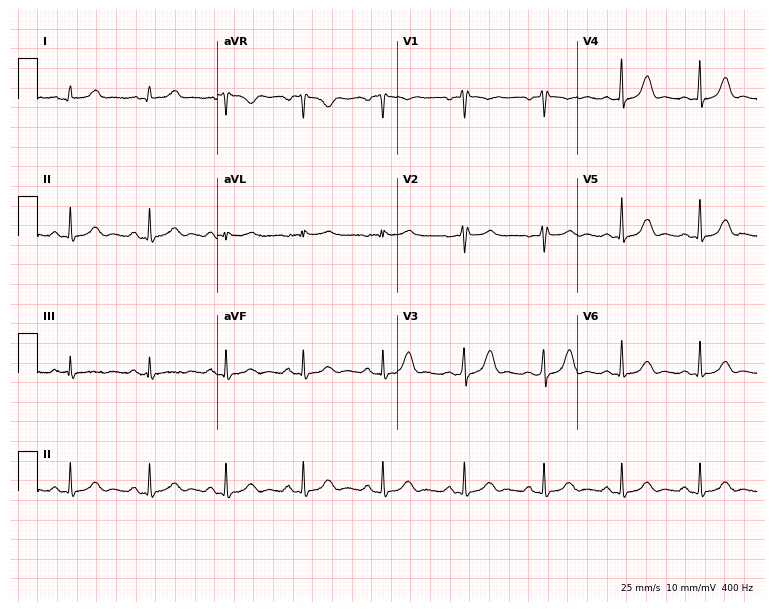
ECG (7.3-second recording at 400 Hz) — a 35-year-old female patient. Screened for six findings — first-degree AV block, right bundle branch block, left bundle branch block, sinus bradycardia, atrial fibrillation, sinus tachycardia — none is recorded.